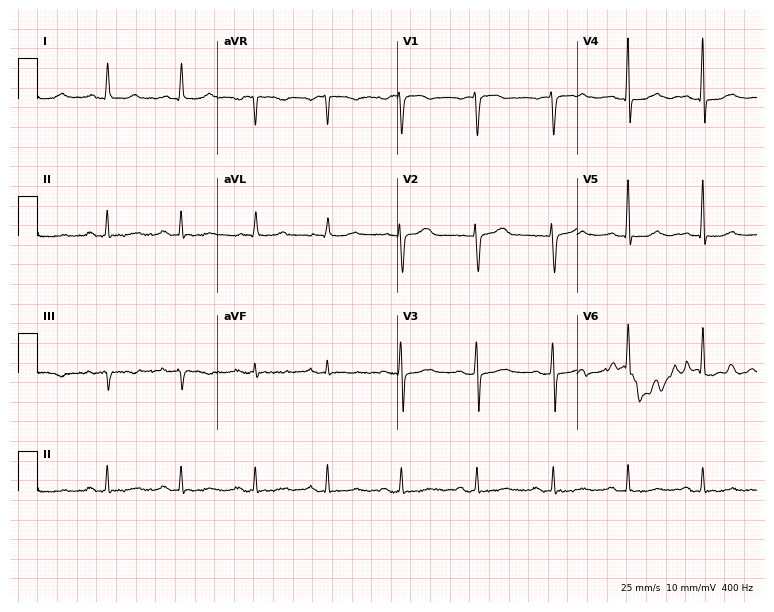
ECG — a woman, 54 years old. Labelled as a normal ECG.